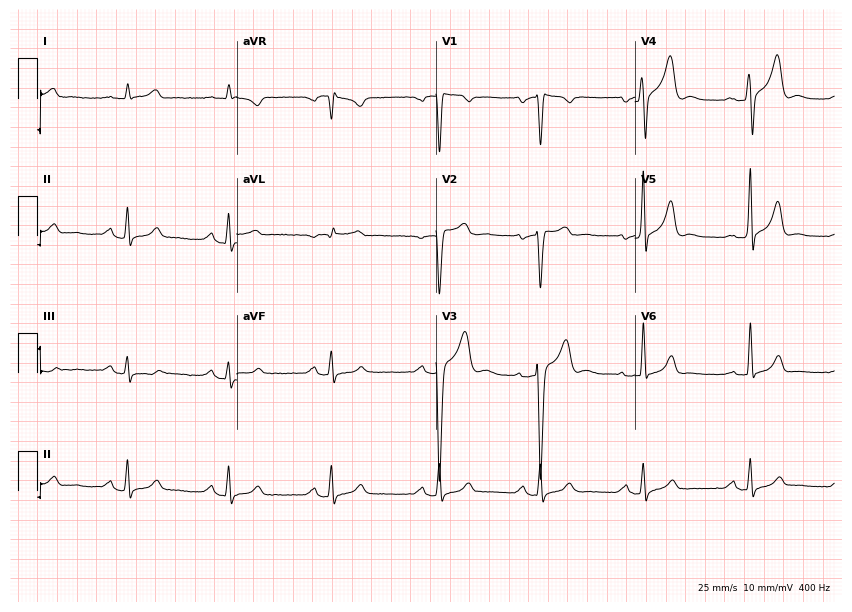
12-lead ECG from a 61-year-old man. Recorded interpretation: within normal limits.